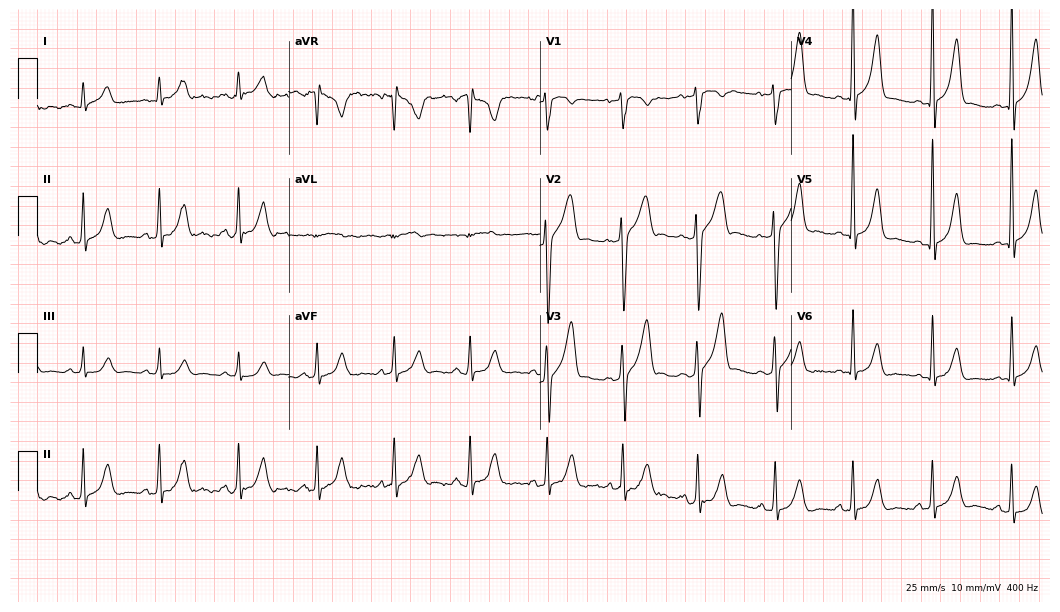
12-lead ECG from a 28-year-old male patient. No first-degree AV block, right bundle branch block (RBBB), left bundle branch block (LBBB), sinus bradycardia, atrial fibrillation (AF) or sinus tachycardia recorded for this tracing.